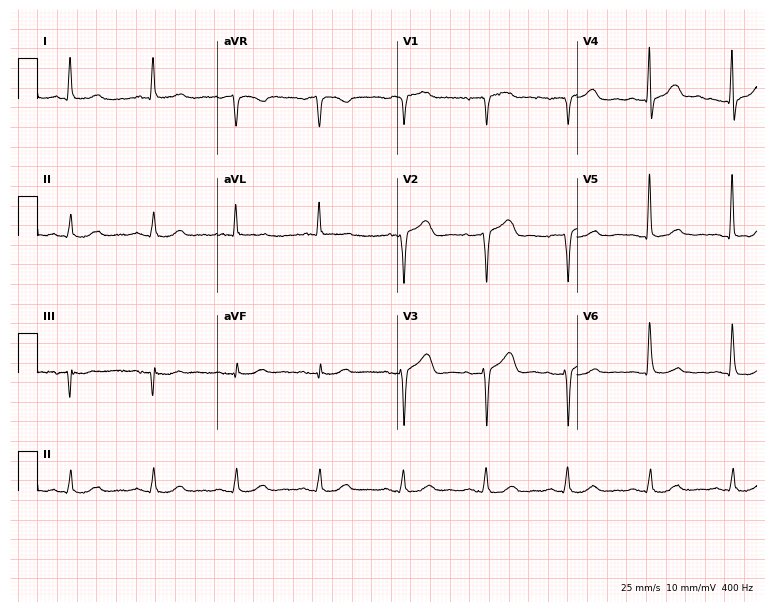
Standard 12-lead ECG recorded from a 66-year-old male patient (7.3-second recording at 400 Hz). None of these six findings is recorded: first-degree AV block, right bundle branch block (RBBB), left bundle branch block (LBBB), sinus bradycardia, atrial fibrillation (AF), sinus tachycardia. Only these six findings were labelled.